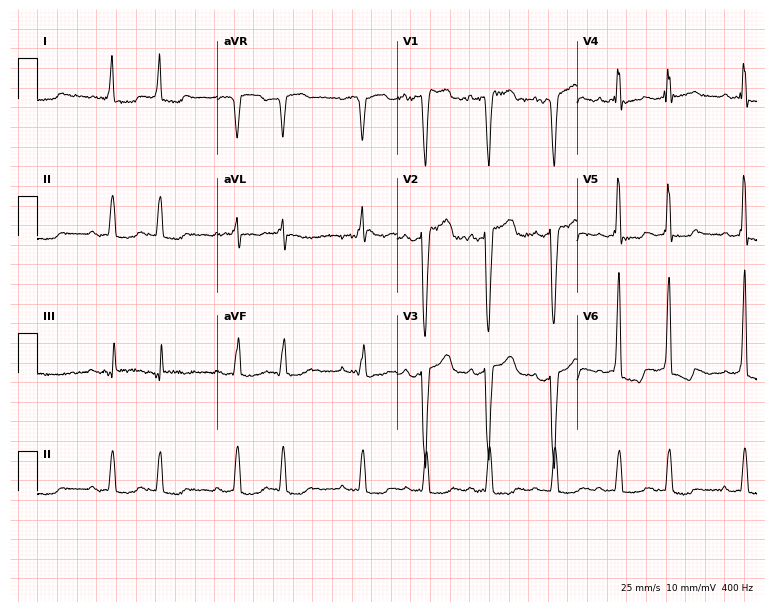
12-lead ECG from a man, 67 years old (7.3-second recording at 400 Hz). Shows atrial fibrillation.